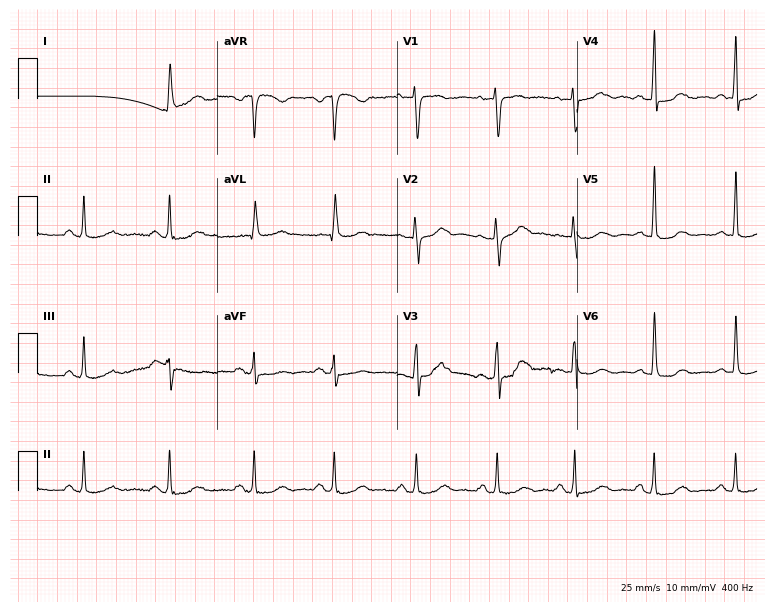
Standard 12-lead ECG recorded from a 58-year-old female patient (7.3-second recording at 400 Hz). Read as a normal ECG.